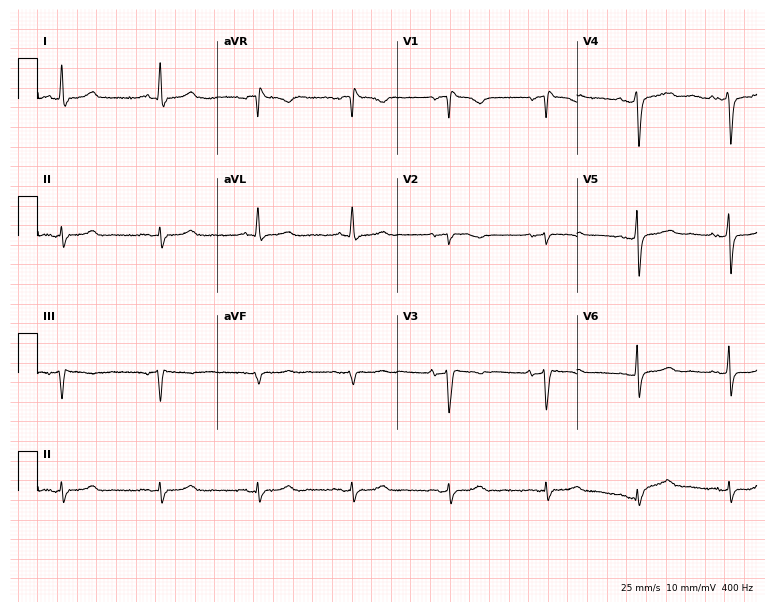
Standard 12-lead ECG recorded from a female patient, 52 years old (7.3-second recording at 400 Hz). None of these six findings is recorded: first-degree AV block, right bundle branch block (RBBB), left bundle branch block (LBBB), sinus bradycardia, atrial fibrillation (AF), sinus tachycardia.